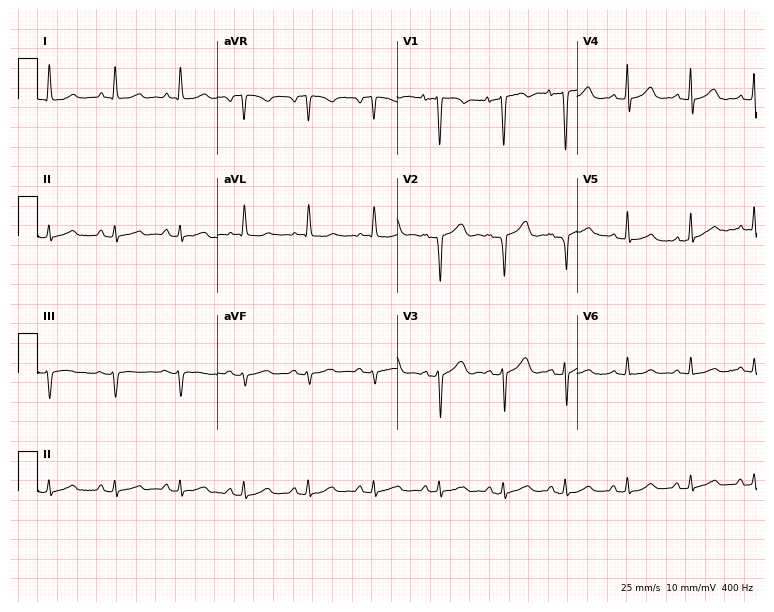
Standard 12-lead ECG recorded from a female, 67 years old (7.3-second recording at 400 Hz). None of these six findings is recorded: first-degree AV block, right bundle branch block, left bundle branch block, sinus bradycardia, atrial fibrillation, sinus tachycardia. Only these six findings were labelled.